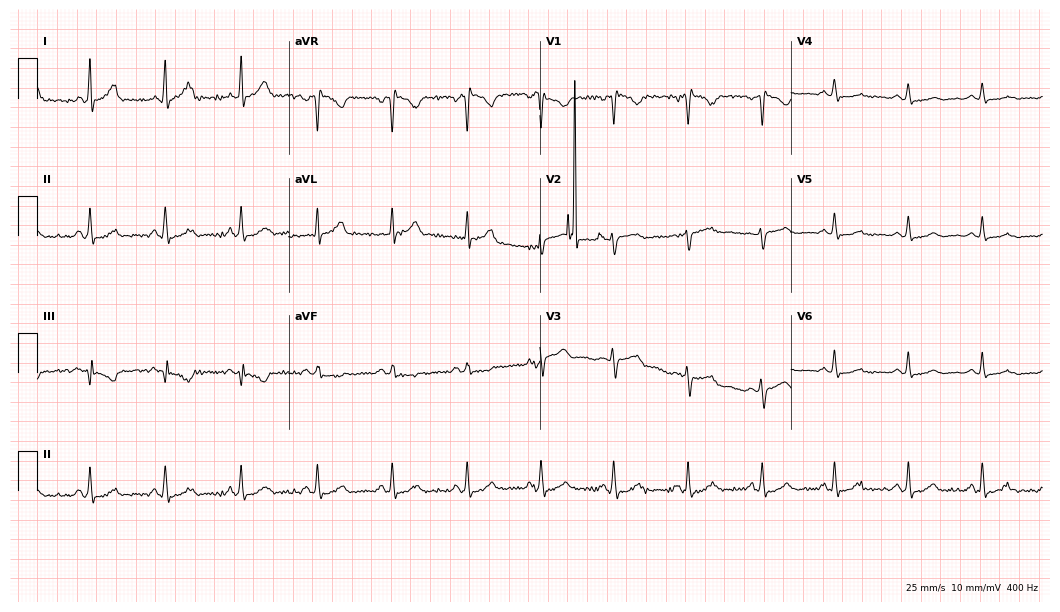
Resting 12-lead electrocardiogram. Patient: a 28-year-old female. Read as a normal ECG.